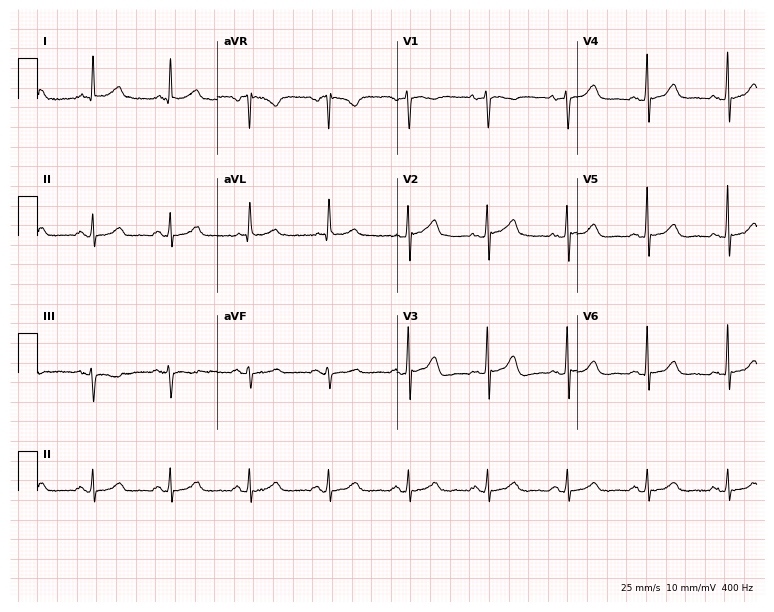
ECG — a female patient, 64 years old. Screened for six findings — first-degree AV block, right bundle branch block, left bundle branch block, sinus bradycardia, atrial fibrillation, sinus tachycardia — none is recorded.